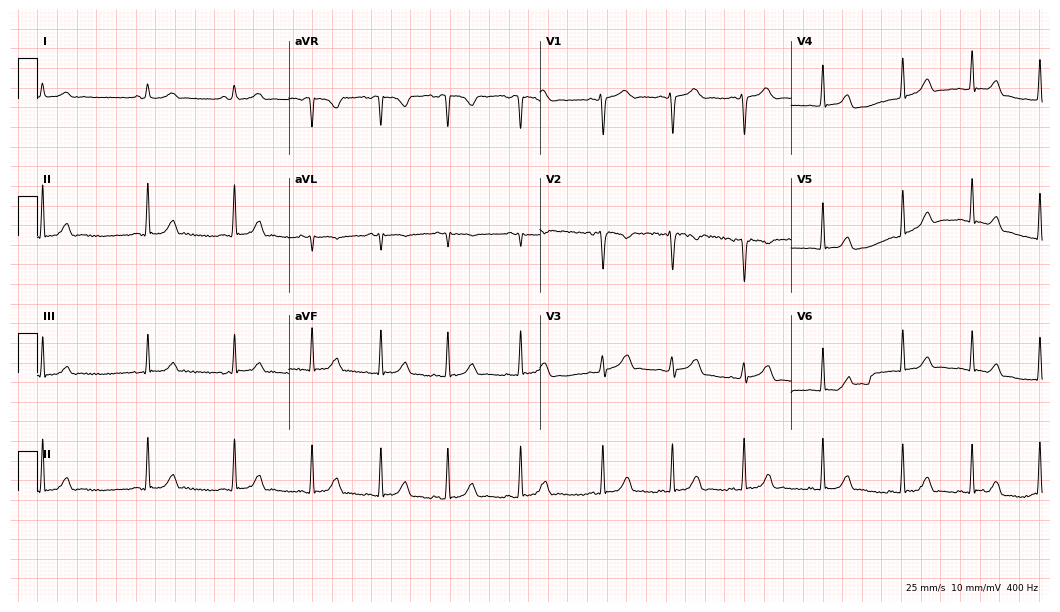
12-lead ECG (10.2-second recording at 400 Hz) from a female, 17 years old. Labelled as a normal ECG.